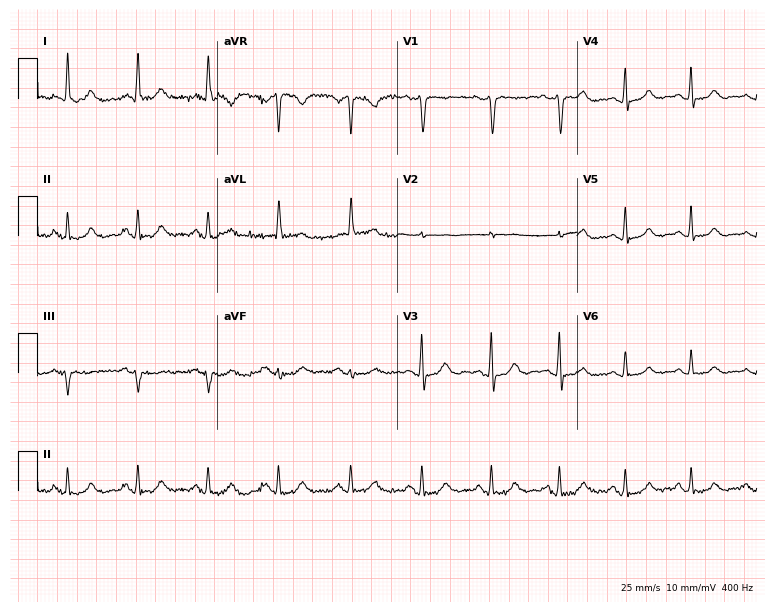
Standard 12-lead ECG recorded from a female patient, 69 years old (7.3-second recording at 400 Hz). Read as a normal ECG.